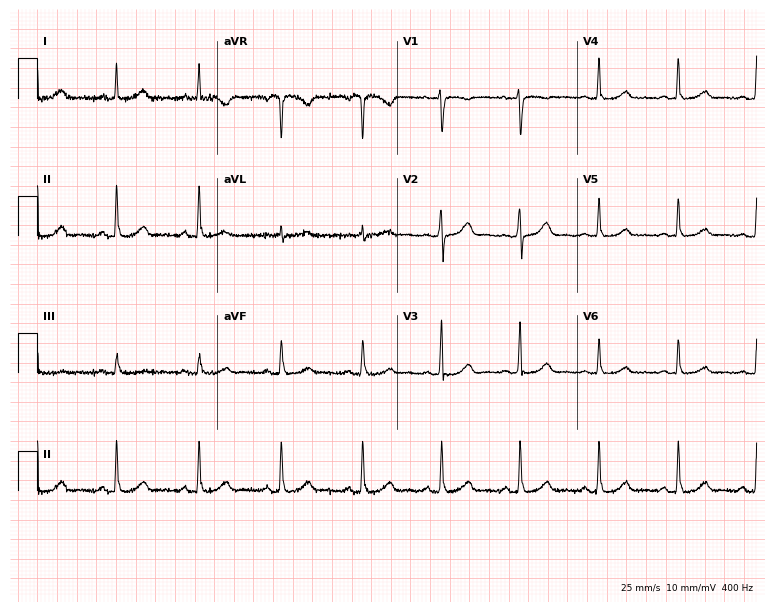
Resting 12-lead electrocardiogram (7.3-second recording at 400 Hz). Patient: a 53-year-old female. Read as a normal ECG.